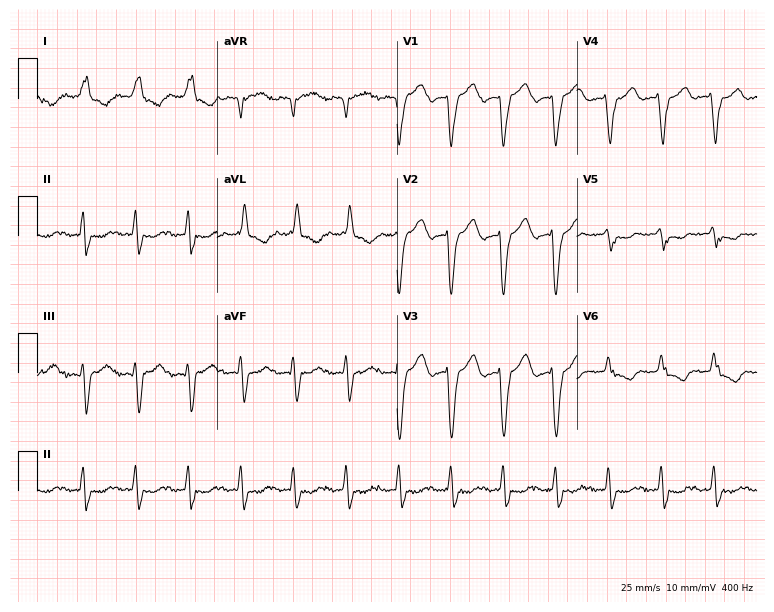
12-lead ECG from a 74-year-old woman. Shows left bundle branch block (LBBB), sinus tachycardia (a sinus rate of 100 beats per minute or more).